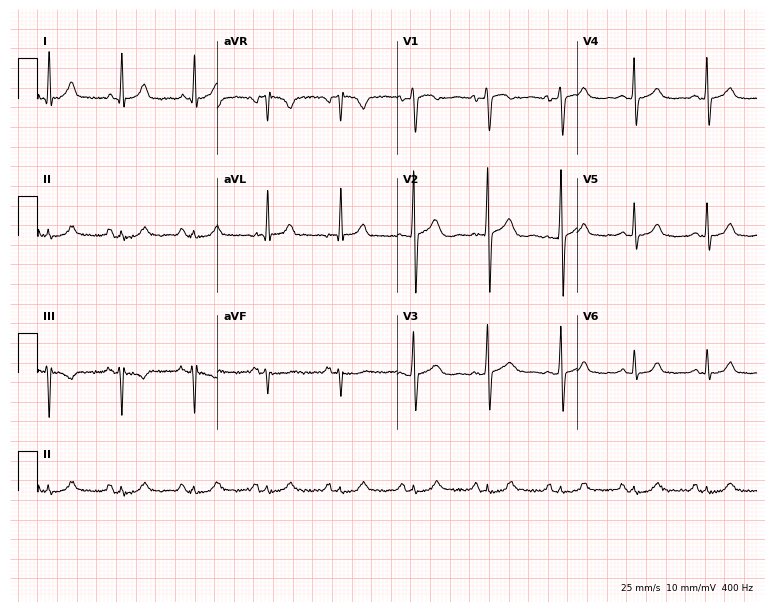
Resting 12-lead electrocardiogram (7.3-second recording at 400 Hz). Patient: a 58-year-old male. None of these six findings is recorded: first-degree AV block, right bundle branch block, left bundle branch block, sinus bradycardia, atrial fibrillation, sinus tachycardia.